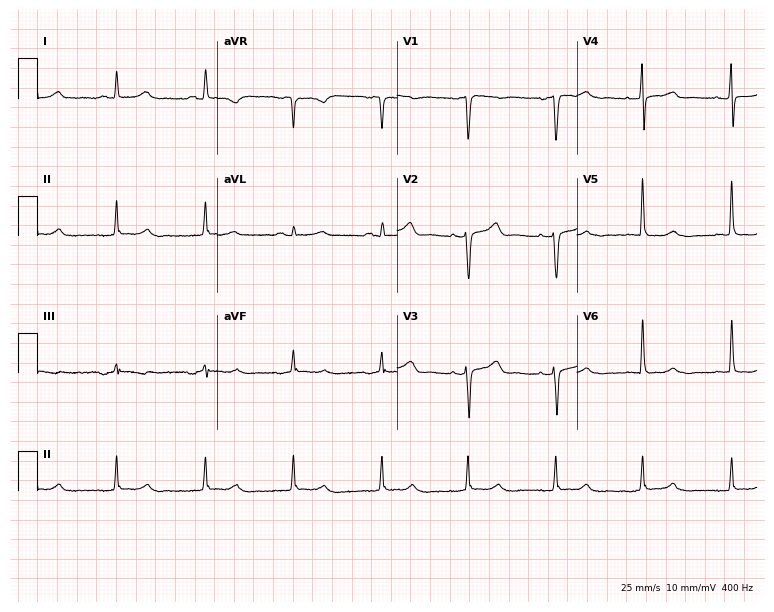
Resting 12-lead electrocardiogram (7.3-second recording at 400 Hz). Patient: a female, 76 years old. None of these six findings is recorded: first-degree AV block, right bundle branch block, left bundle branch block, sinus bradycardia, atrial fibrillation, sinus tachycardia.